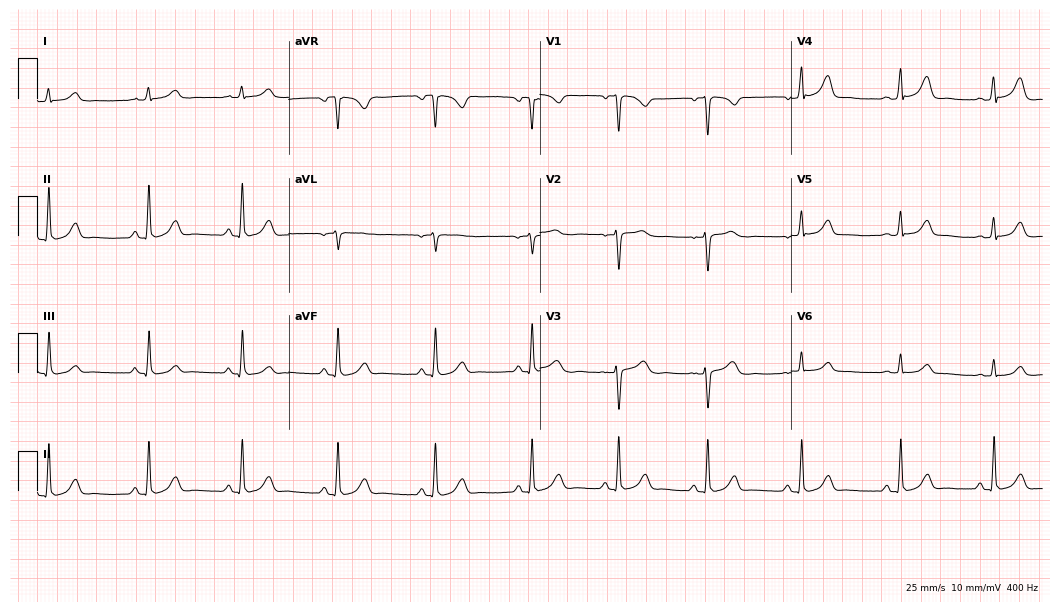
12-lead ECG from a woman, 30 years old. No first-degree AV block, right bundle branch block, left bundle branch block, sinus bradycardia, atrial fibrillation or sinus tachycardia recorded for this tracing. Only these six findings were labelled.